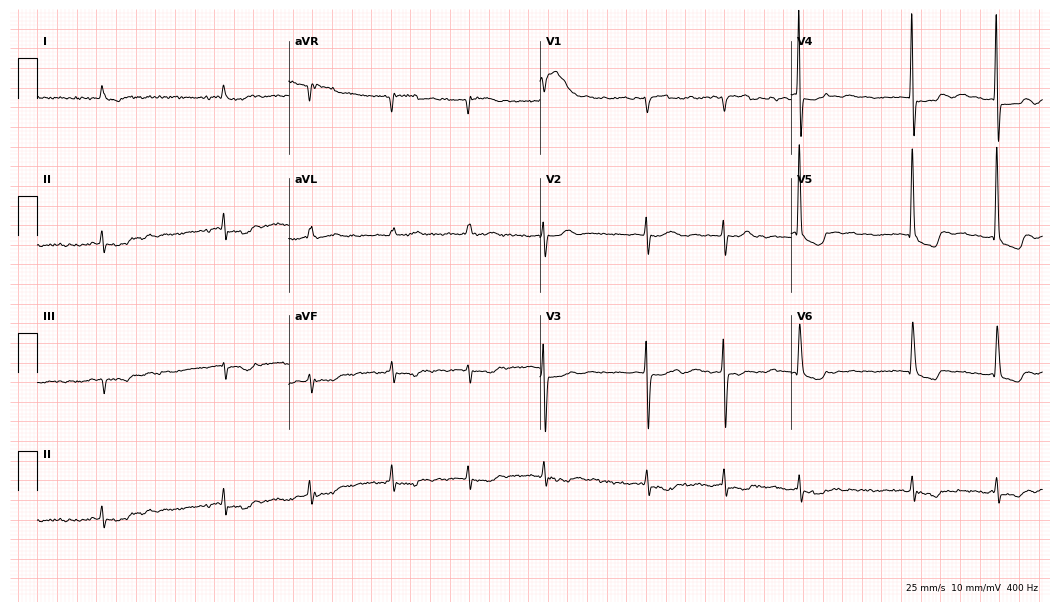
Resting 12-lead electrocardiogram. Patient: an 80-year-old woman. The tracing shows atrial fibrillation (AF).